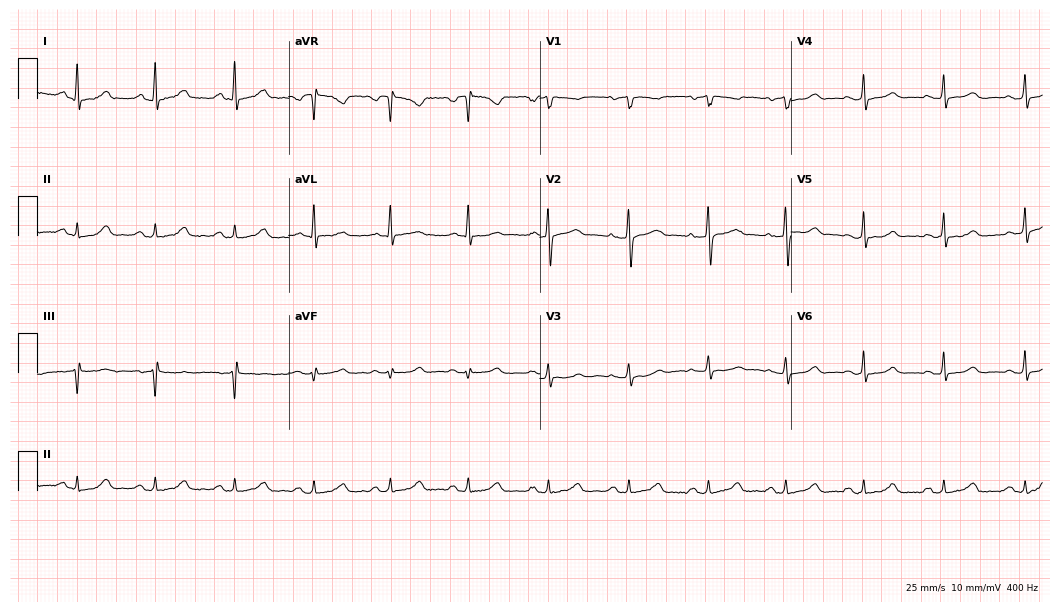
Resting 12-lead electrocardiogram. Patient: a 45-year-old female. Read as a normal ECG.